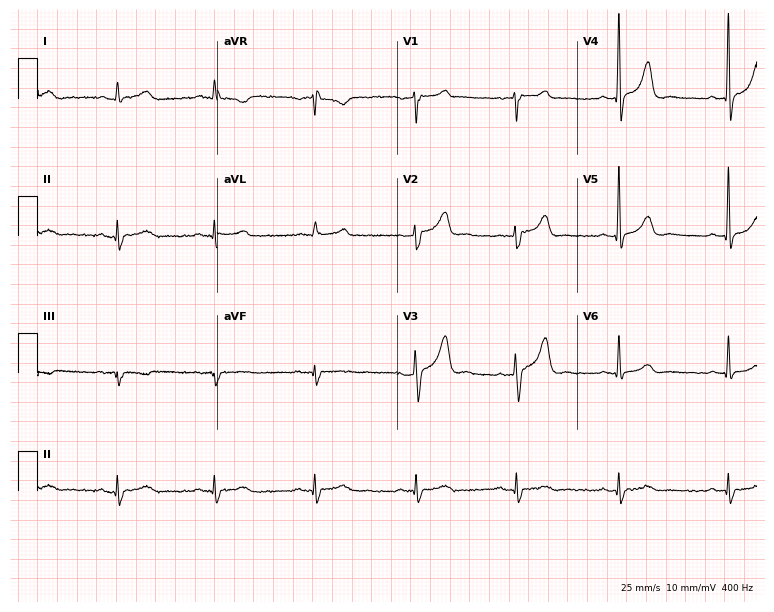
ECG — a 61-year-old man. Screened for six findings — first-degree AV block, right bundle branch block, left bundle branch block, sinus bradycardia, atrial fibrillation, sinus tachycardia — none is recorded. Other findings, if any, are not listed.